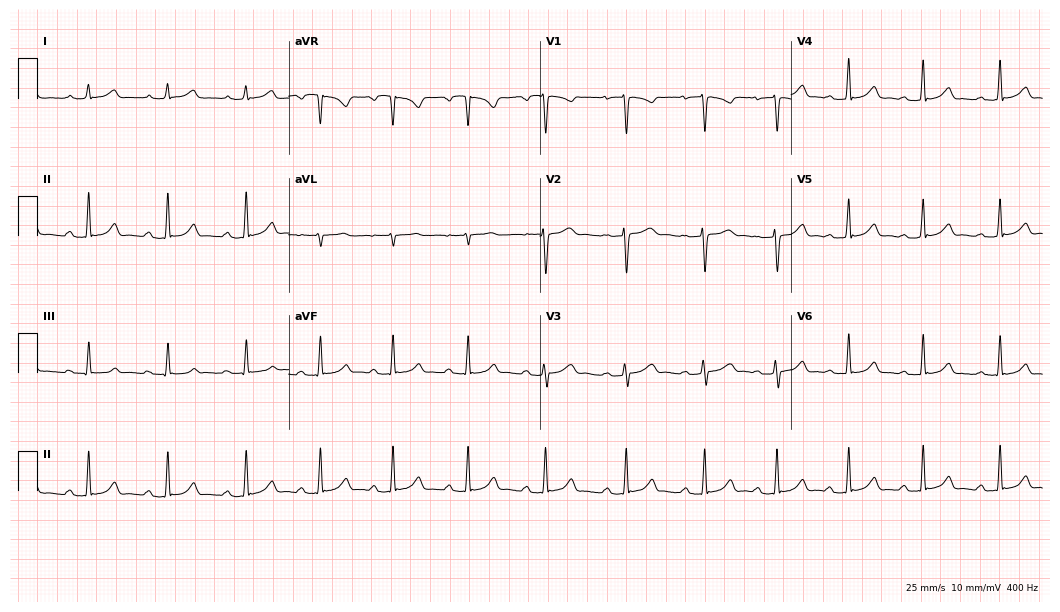
Standard 12-lead ECG recorded from a male patient, 26 years old (10.2-second recording at 400 Hz). Read as a normal ECG.